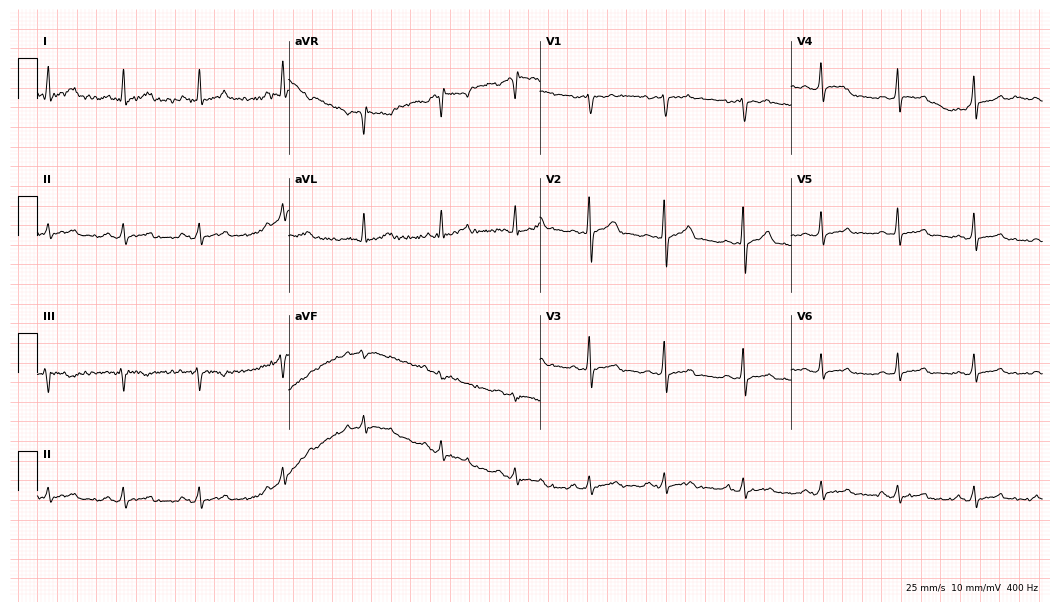
12-lead ECG (10.2-second recording at 400 Hz) from a 33-year-old man. Labelled as a normal ECG.